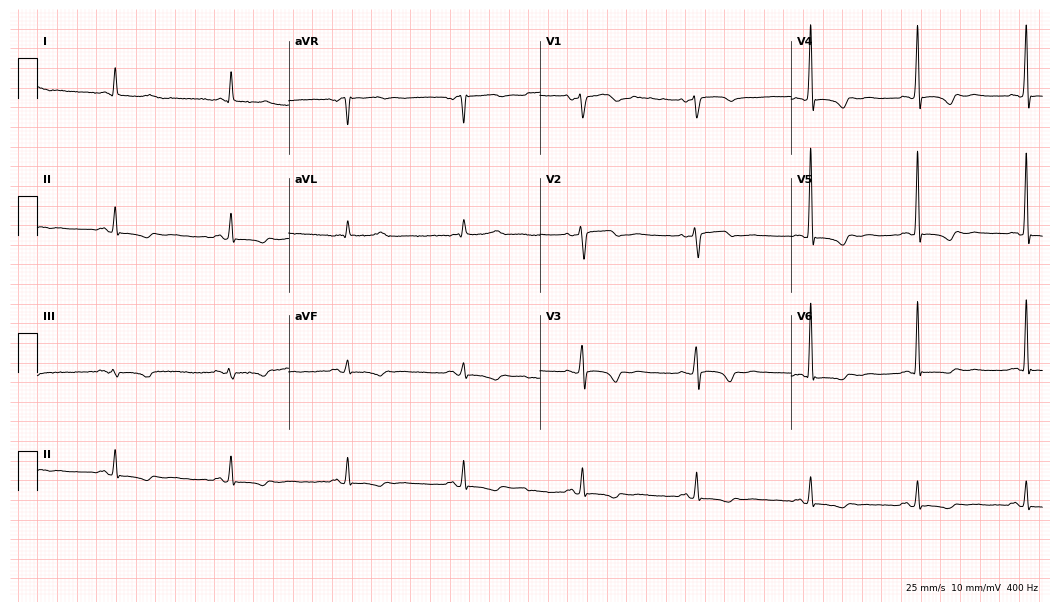
ECG (10.2-second recording at 400 Hz) — a female, 66 years old. Labelled as a normal ECG.